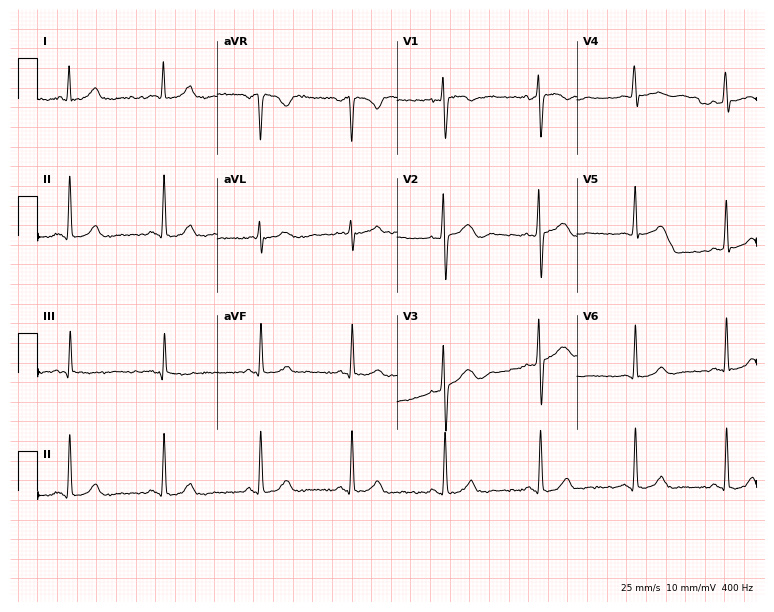
12-lead ECG from a female, 27 years old (7.3-second recording at 400 Hz). No first-degree AV block, right bundle branch block, left bundle branch block, sinus bradycardia, atrial fibrillation or sinus tachycardia recorded for this tracing.